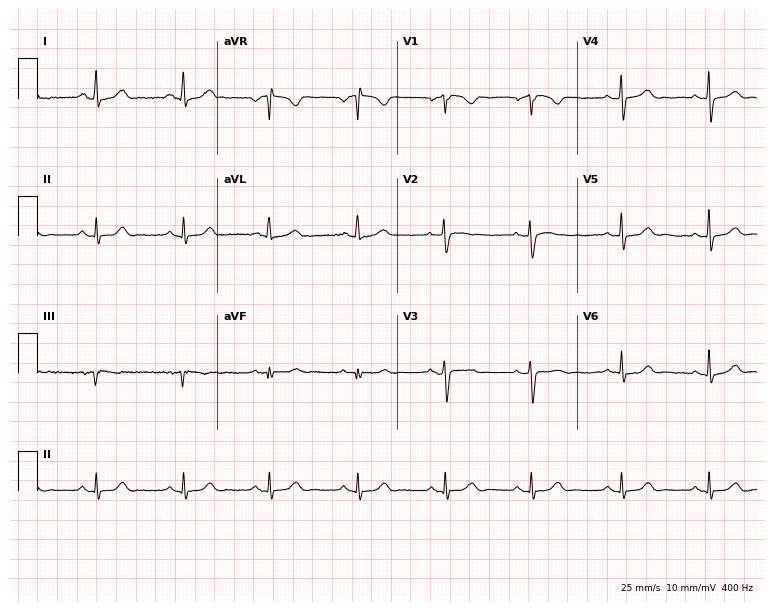
Electrocardiogram, a female patient, 39 years old. Overall reading on record: normal ECG.